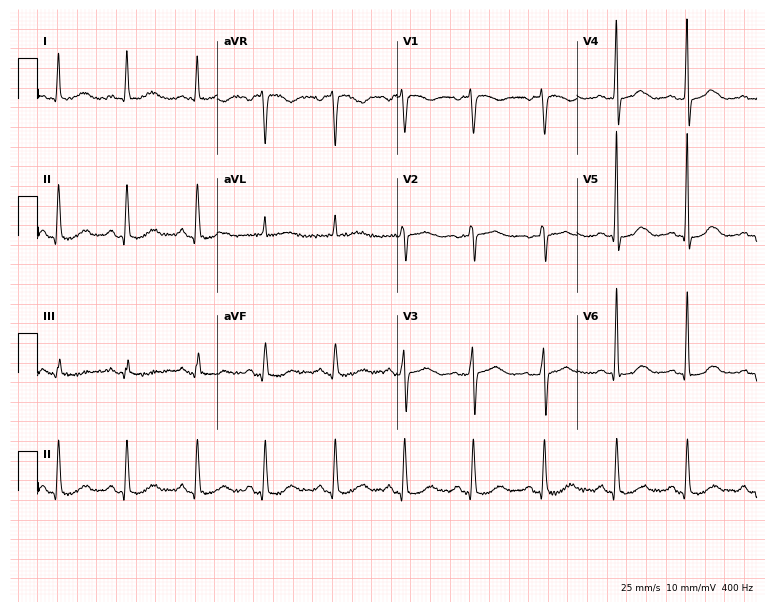
Resting 12-lead electrocardiogram (7.3-second recording at 400 Hz). Patient: a 64-year-old woman. Read as a normal ECG.